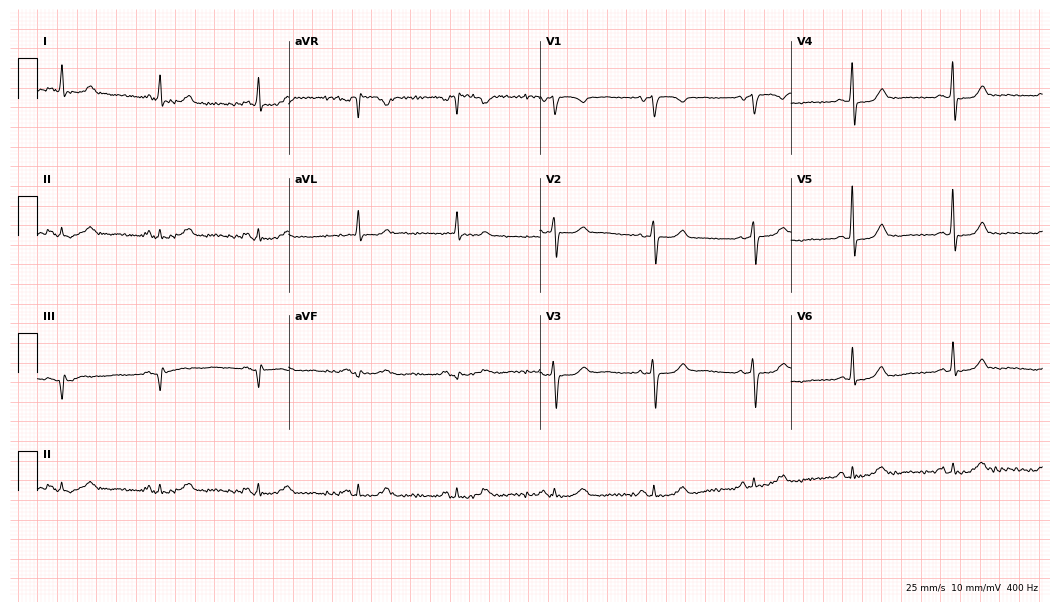
Electrocardiogram, a 68-year-old woman. Of the six screened findings (first-degree AV block, right bundle branch block (RBBB), left bundle branch block (LBBB), sinus bradycardia, atrial fibrillation (AF), sinus tachycardia), none is recorded.